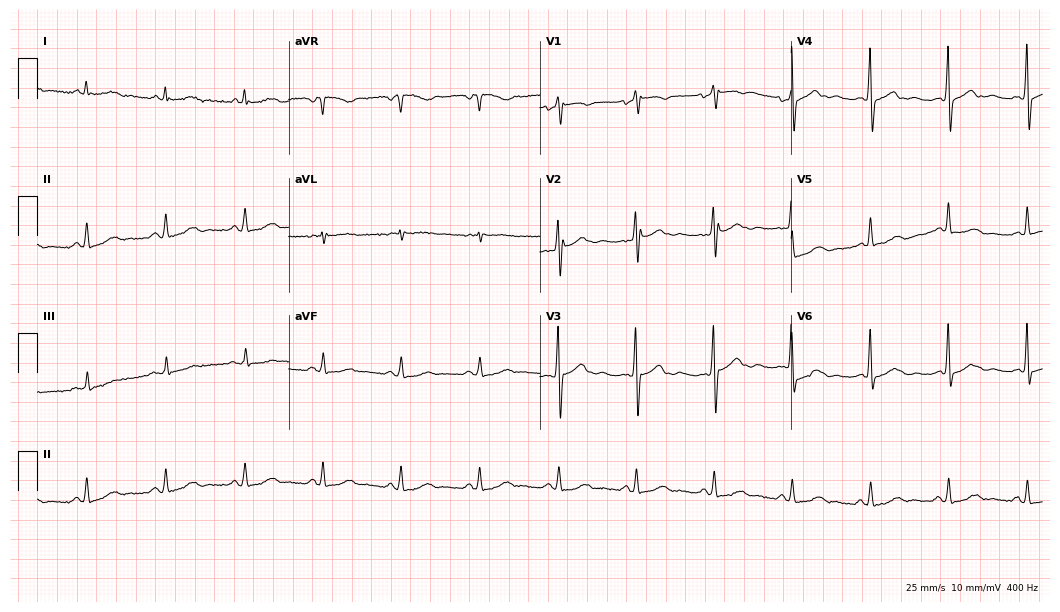
12-lead ECG from a female, 68 years old (10.2-second recording at 400 Hz). Recorded interpretation: within normal limits.